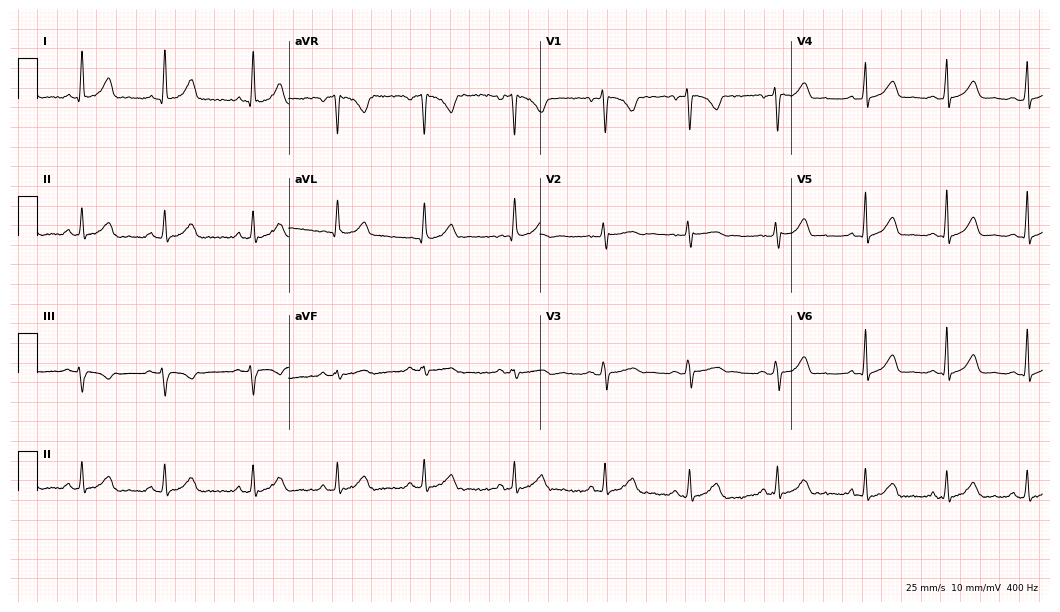
Standard 12-lead ECG recorded from a woman, 33 years old (10.2-second recording at 400 Hz). Read as a normal ECG.